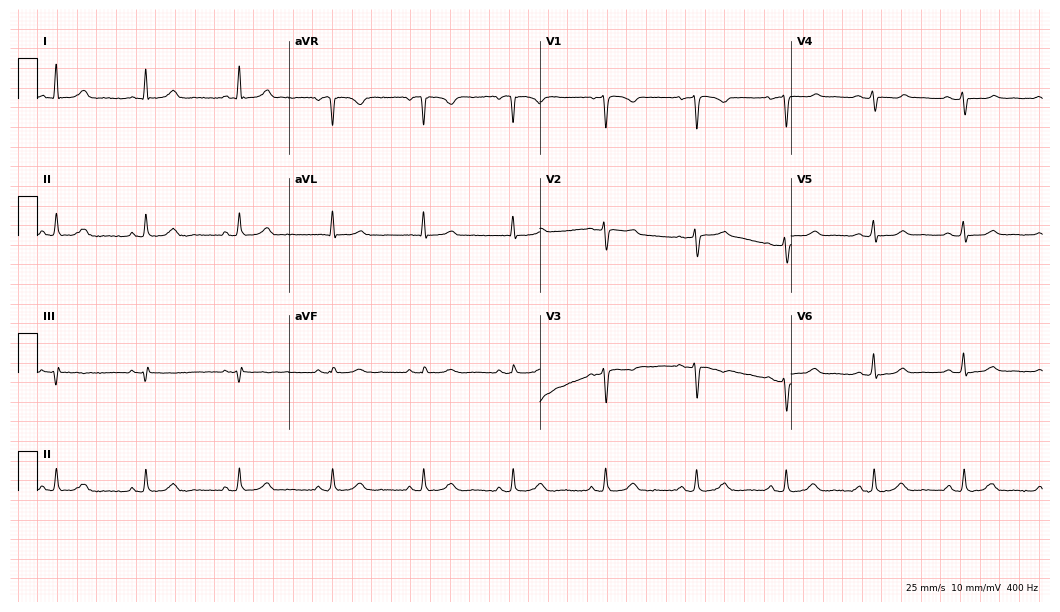
Electrocardiogram (10.2-second recording at 400 Hz), a 58-year-old female. Overall reading on record: normal ECG.